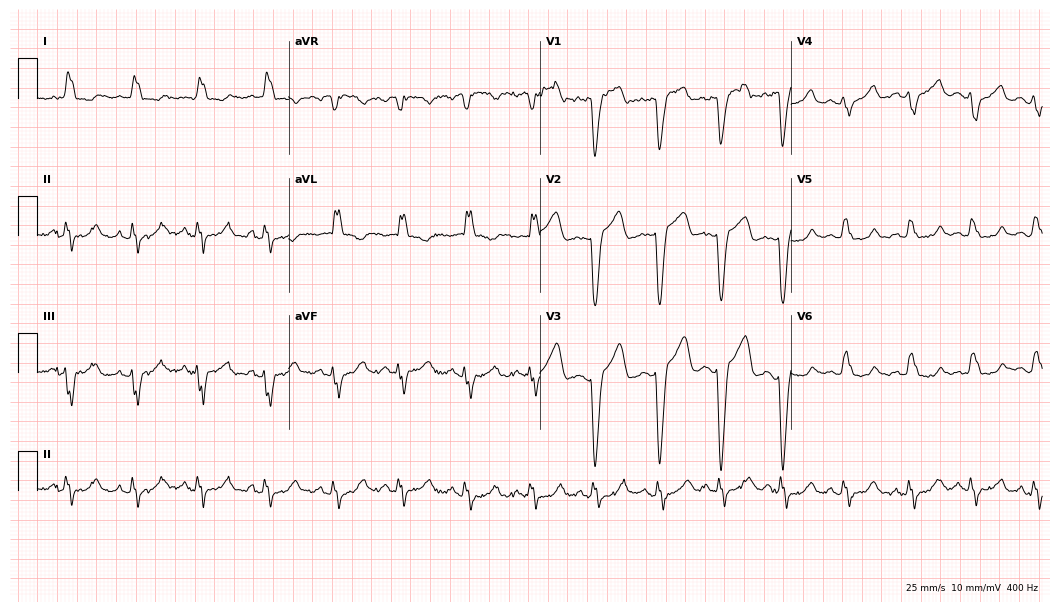
Electrocardiogram, a female patient, 54 years old. Interpretation includes left bundle branch block (LBBB).